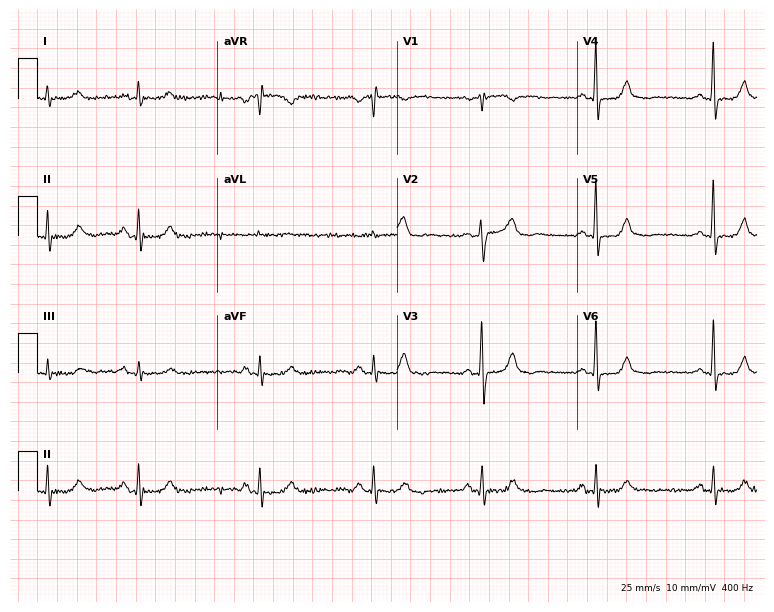
ECG (7.3-second recording at 400 Hz) — a 79-year-old male patient. Labelled as a normal ECG.